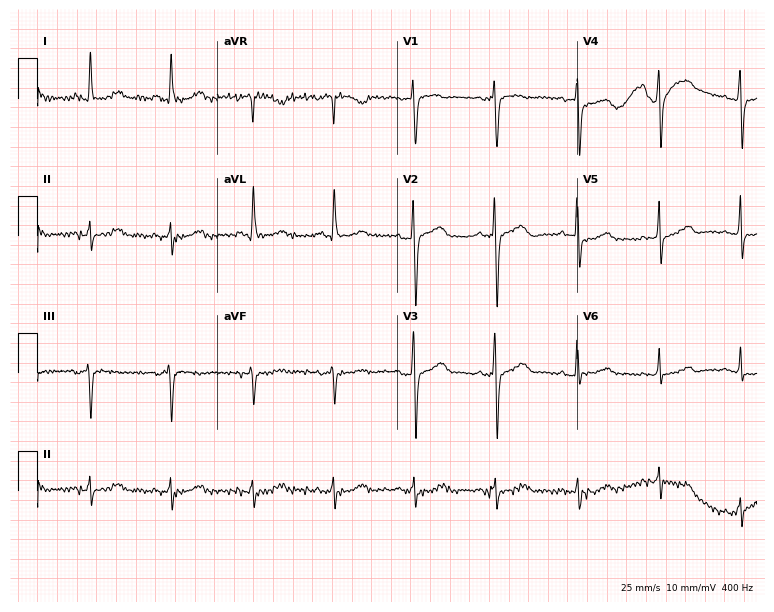
Standard 12-lead ECG recorded from a 68-year-old woman. None of these six findings is recorded: first-degree AV block, right bundle branch block, left bundle branch block, sinus bradycardia, atrial fibrillation, sinus tachycardia. Only these six findings were labelled.